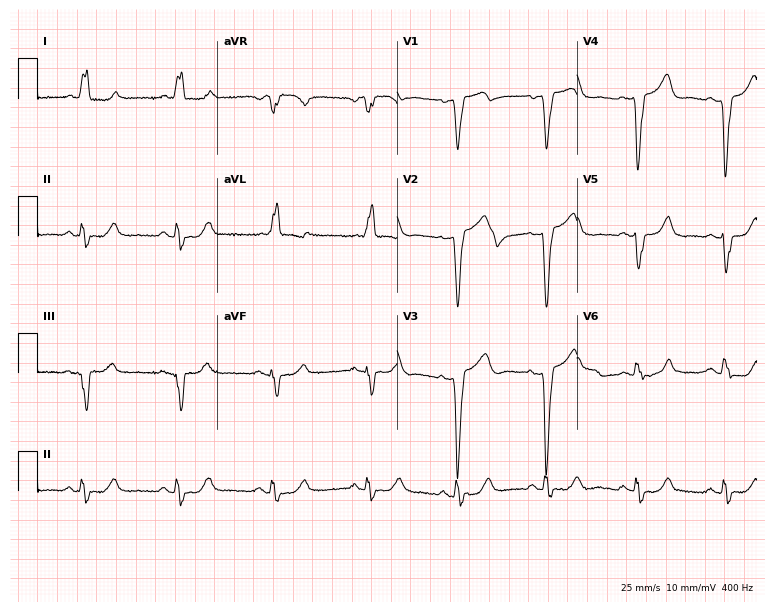
ECG — a female patient, 68 years old. Findings include left bundle branch block (LBBB).